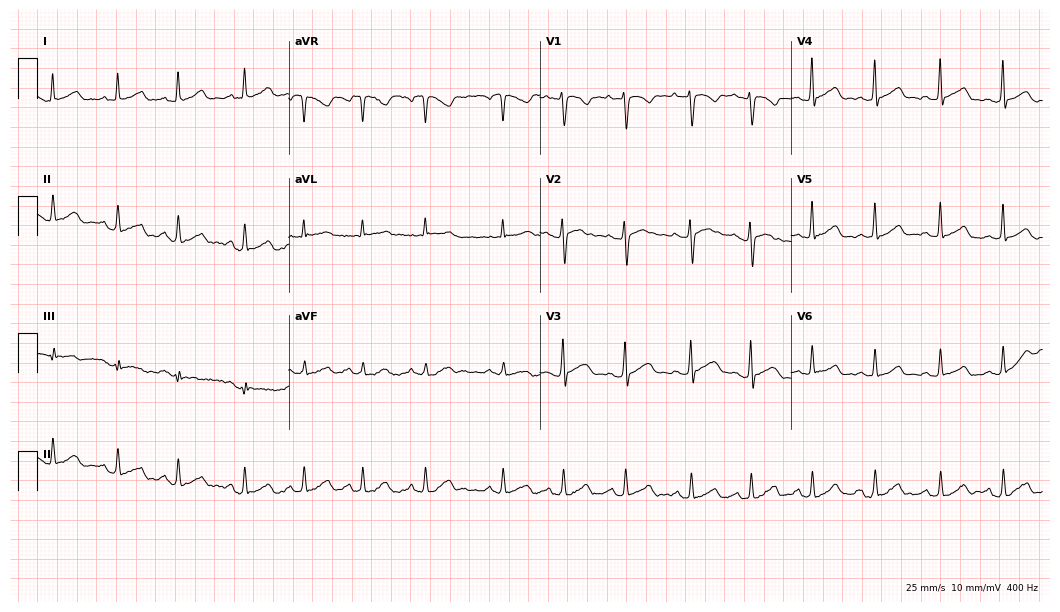
Resting 12-lead electrocardiogram (10.2-second recording at 400 Hz). Patient: a woman, 33 years old. Read as a normal ECG.